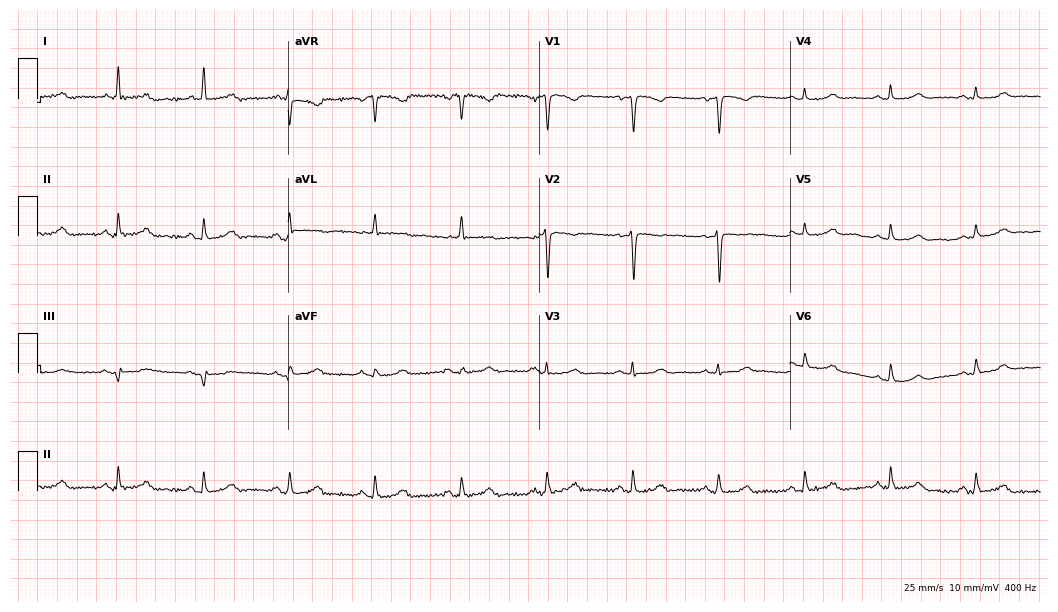
Electrocardiogram, a 63-year-old female patient. Of the six screened findings (first-degree AV block, right bundle branch block, left bundle branch block, sinus bradycardia, atrial fibrillation, sinus tachycardia), none is recorded. Findings outside these six are not listed.